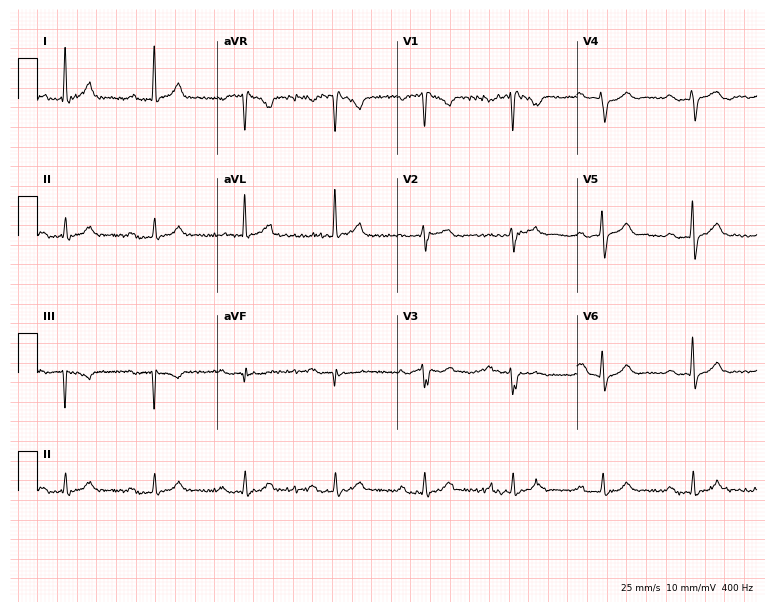
12-lead ECG (7.3-second recording at 400 Hz) from an 81-year-old man. Findings include first-degree AV block.